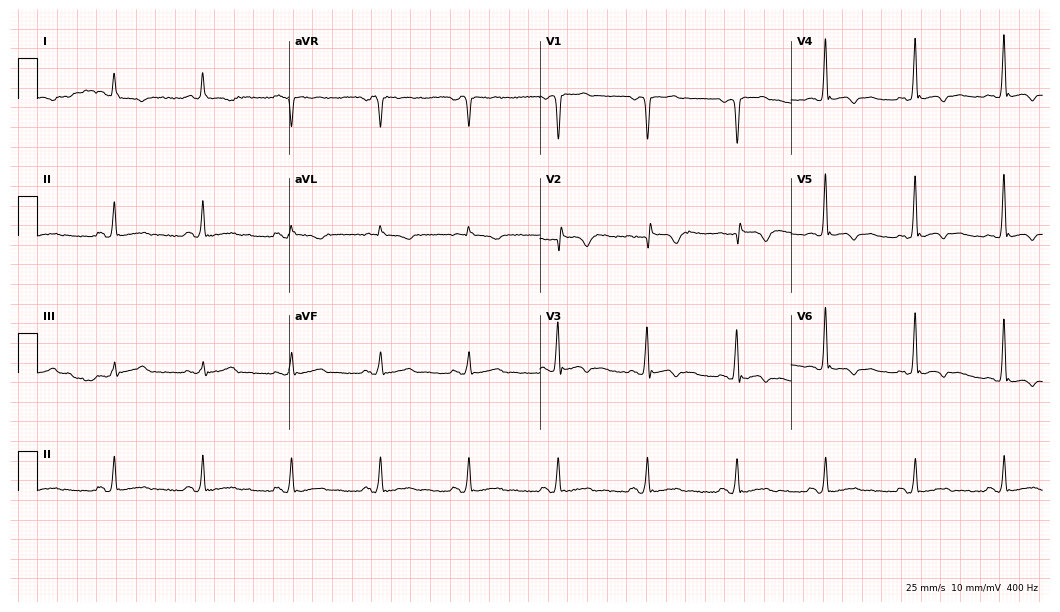
Electrocardiogram, a 50-year-old man. Of the six screened findings (first-degree AV block, right bundle branch block (RBBB), left bundle branch block (LBBB), sinus bradycardia, atrial fibrillation (AF), sinus tachycardia), none is recorded.